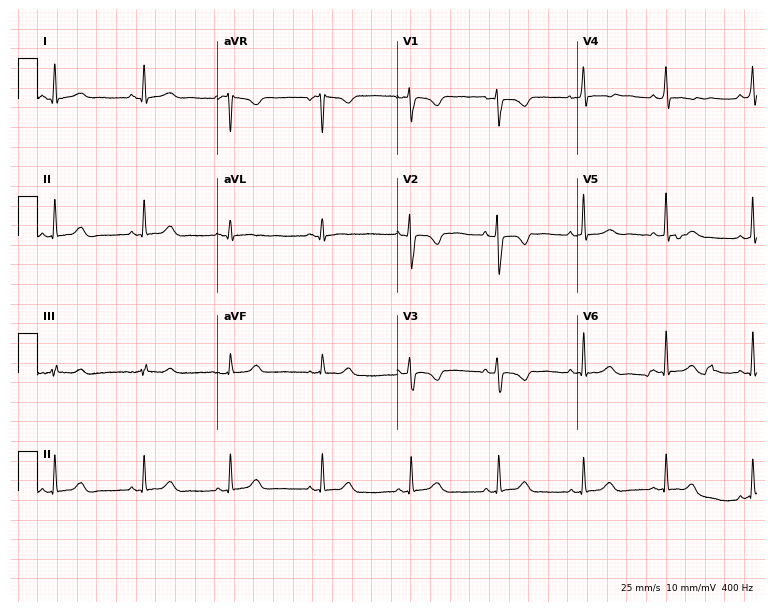
12-lead ECG (7.3-second recording at 400 Hz) from a woman, 24 years old. Screened for six findings — first-degree AV block, right bundle branch block, left bundle branch block, sinus bradycardia, atrial fibrillation, sinus tachycardia — none is recorded. Findings outside these six are not listed.